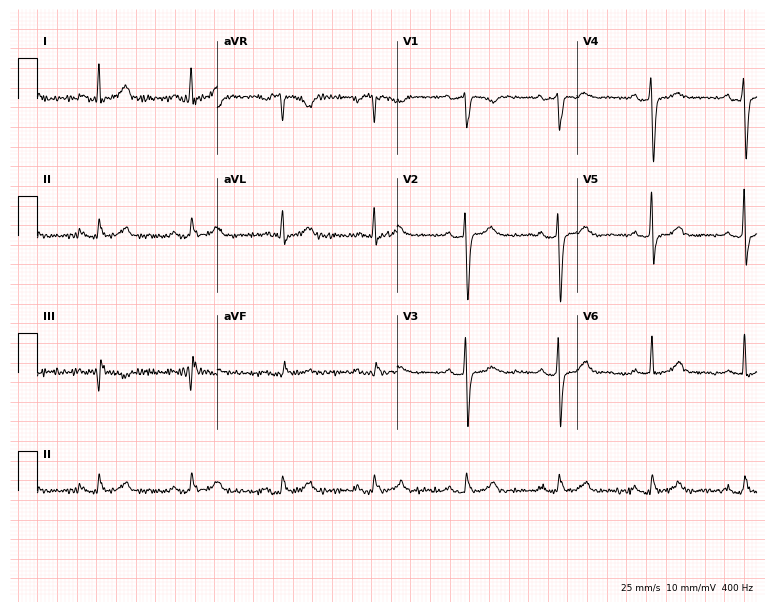
12-lead ECG from a male patient, 67 years old (7.3-second recording at 400 Hz). No first-degree AV block, right bundle branch block (RBBB), left bundle branch block (LBBB), sinus bradycardia, atrial fibrillation (AF) or sinus tachycardia recorded for this tracing. Findings outside these six are not listed.